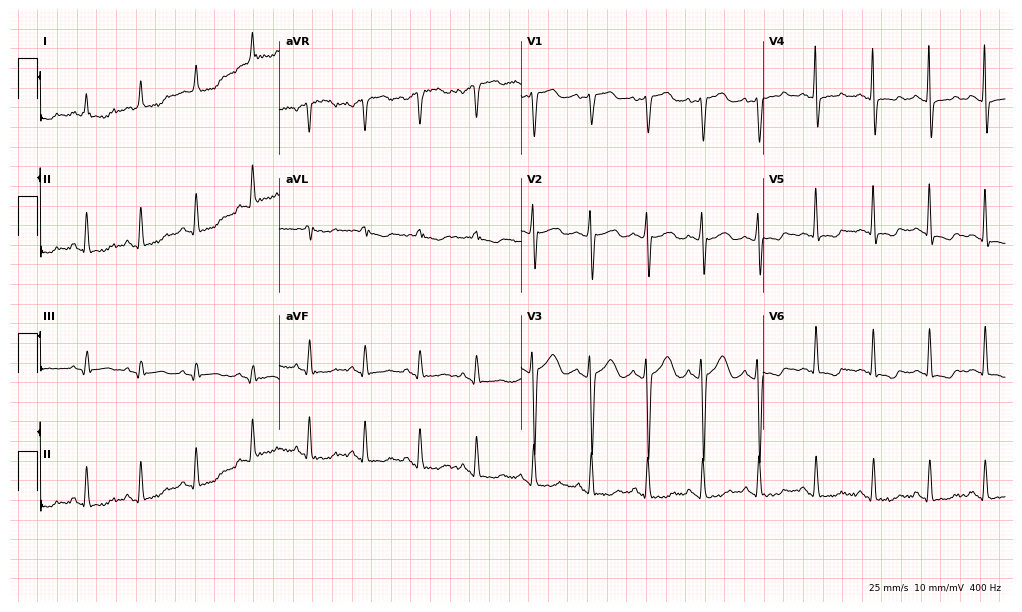
Standard 12-lead ECG recorded from a 50-year-old female. The tracing shows sinus tachycardia (a sinus rate of 100 beats per minute or more).